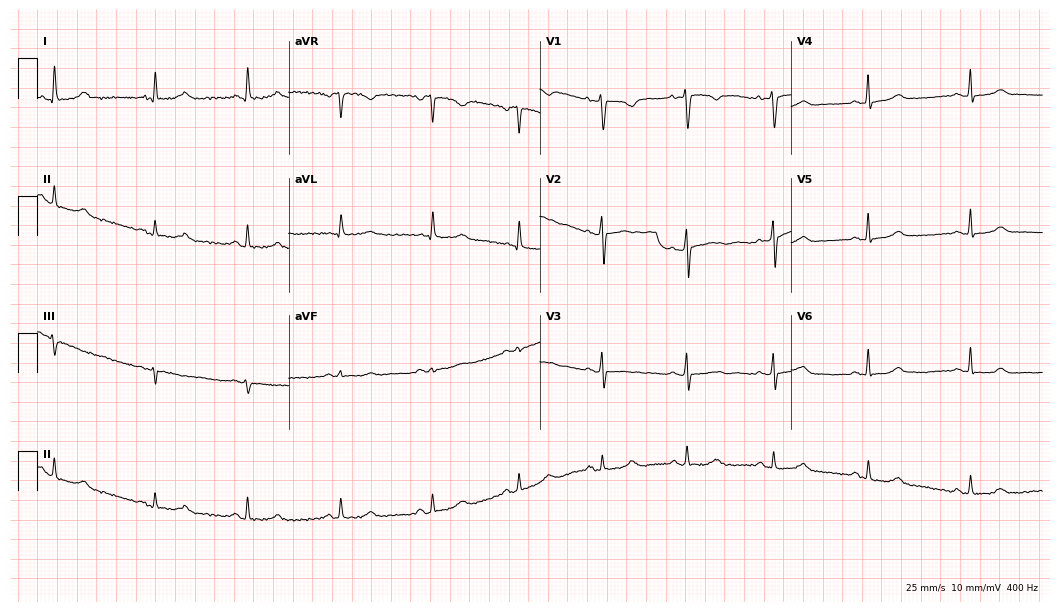
12-lead ECG (10.2-second recording at 400 Hz) from a 40-year-old woman. Labelled as a normal ECG.